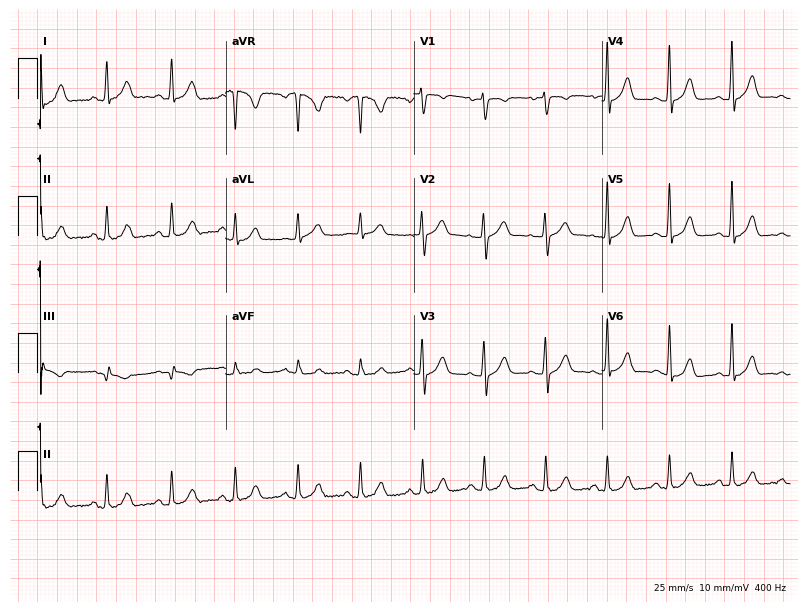
12-lead ECG from a female patient, 49 years old (7.7-second recording at 400 Hz). No first-degree AV block, right bundle branch block (RBBB), left bundle branch block (LBBB), sinus bradycardia, atrial fibrillation (AF) or sinus tachycardia recorded for this tracing.